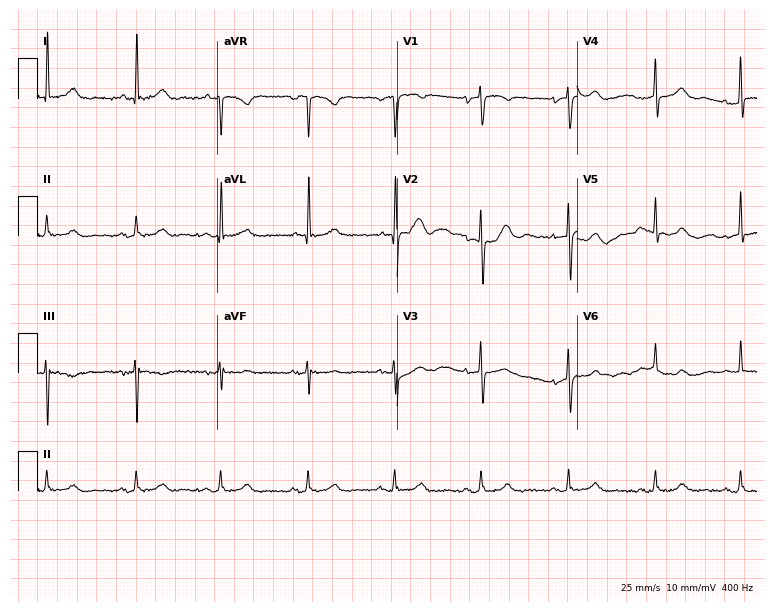
12-lead ECG from an 83-year-old female. Labelled as a normal ECG.